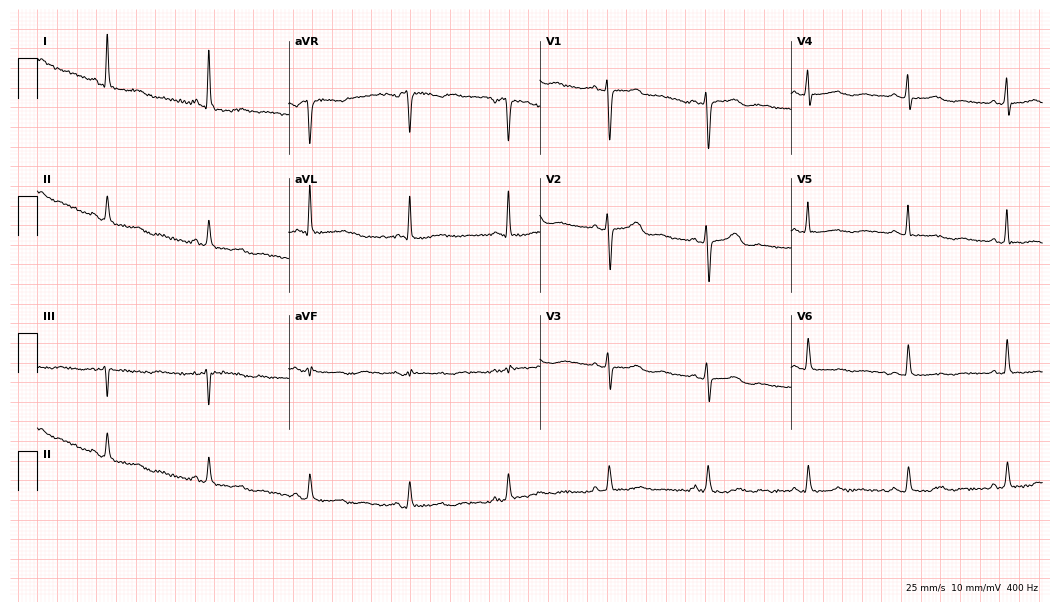
12-lead ECG from a 55-year-old woman (10.2-second recording at 400 Hz). No first-degree AV block, right bundle branch block, left bundle branch block, sinus bradycardia, atrial fibrillation or sinus tachycardia recorded for this tracing. Only these six findings were labelled.